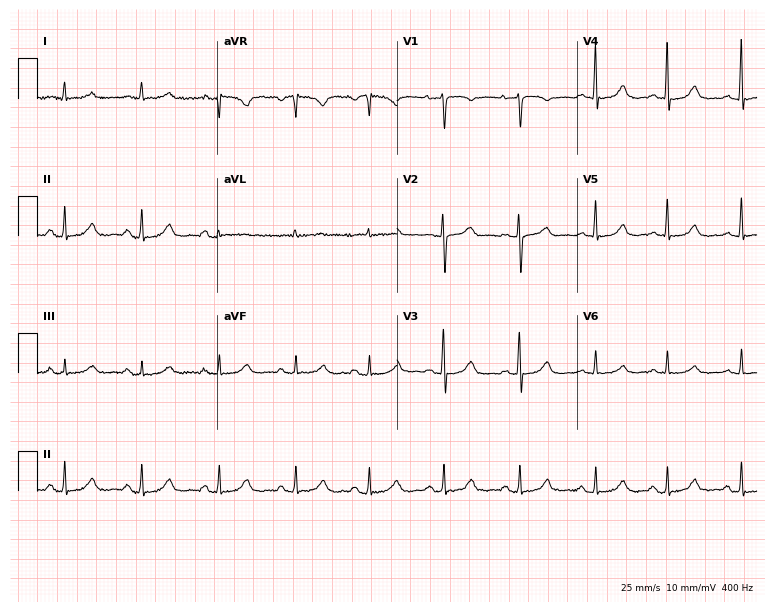
12-lead ECG from a female patient, 66 years old (7.3-second recording at 400 Hz). Recorded interpretation: within normal limits.